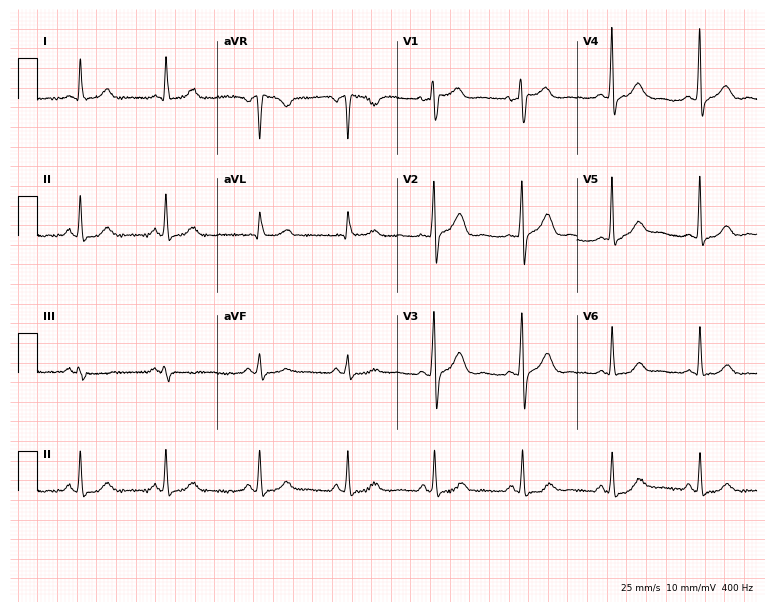
Electrocardiogram, a 67-year-old woman. Overall reading on record: normal ECG.